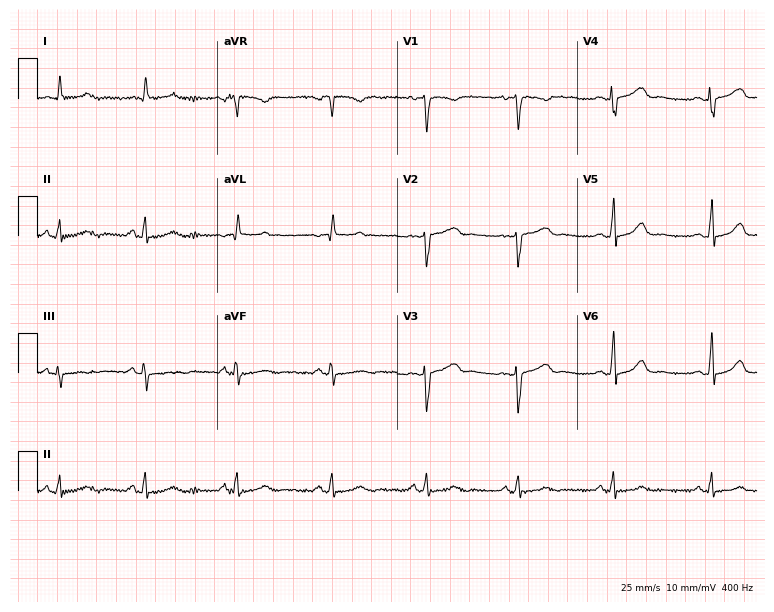
12-lead ECG from a male patient, 36 years old. Screened for six findings — first-degree AV block, right bundle branch block, left bundle branch block, sinus bradycardia, atrial fibrillation, sinus tachycardia — none is recorded.